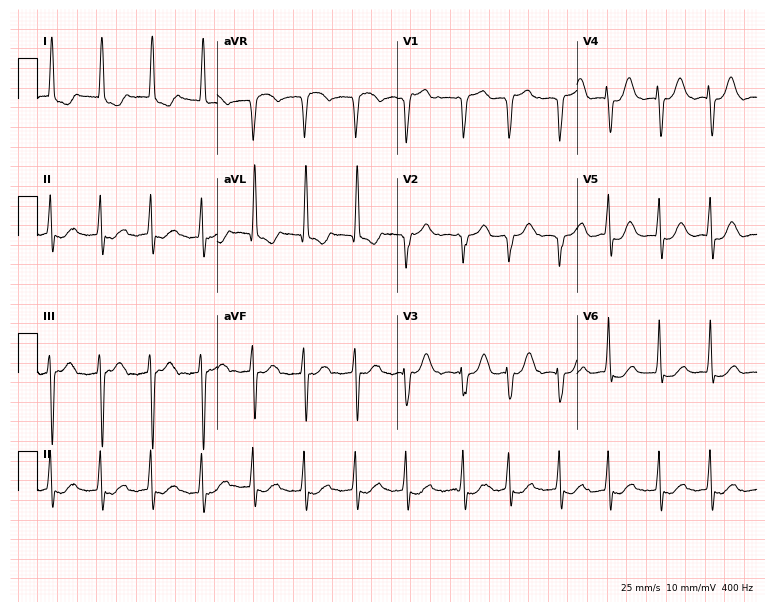
Resting 12-lead electrocardiogram (7.3-second recording at 400 Hz). Patient: a female, 84 years old. The tracing shows atrial fibrillation.